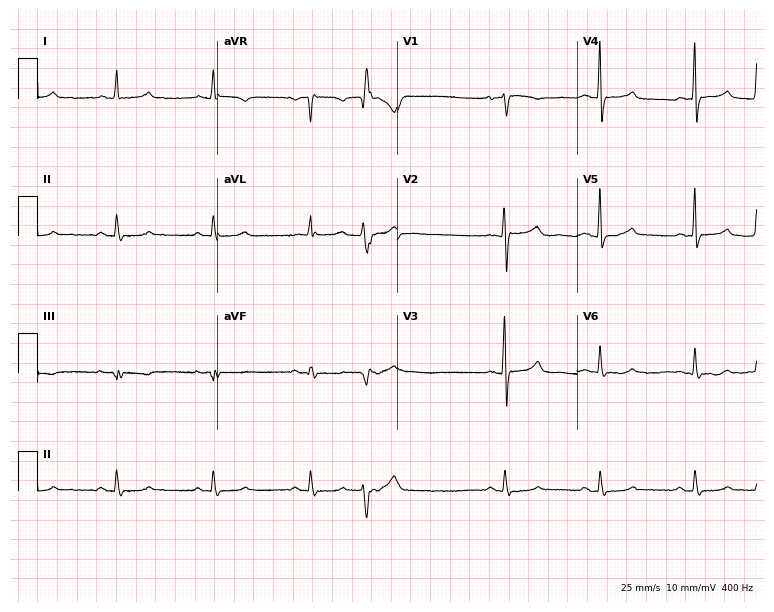
Standard 12-lead ECG recorded from a female patient, 79 years old. None of these six findings is recorded: first-degree AV block, right bundle branch block (RBBB), left bundle branch block (LBBB), sinus bradycardia, atrial fibrillation (AF), sinus tachycardia.